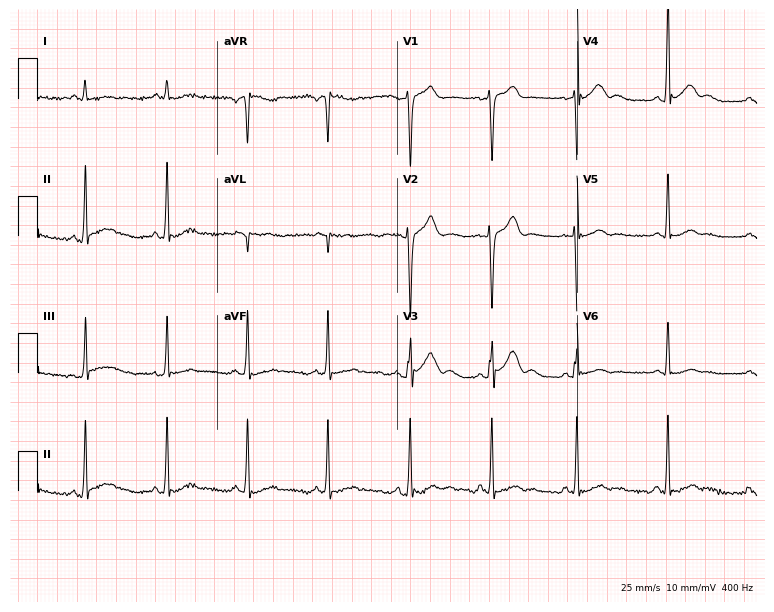
Resting 12-lead electrocardiogram (7.3-second recording at 400 Hz). Patient: a 51-year-old male. None of these six findings is recorded: first-degree AV block, right bundle branch block (RBBB), left bundle branch block (LBBB), sinus bradycardia, atrial fibrillation (AF), sinus tachycardia.